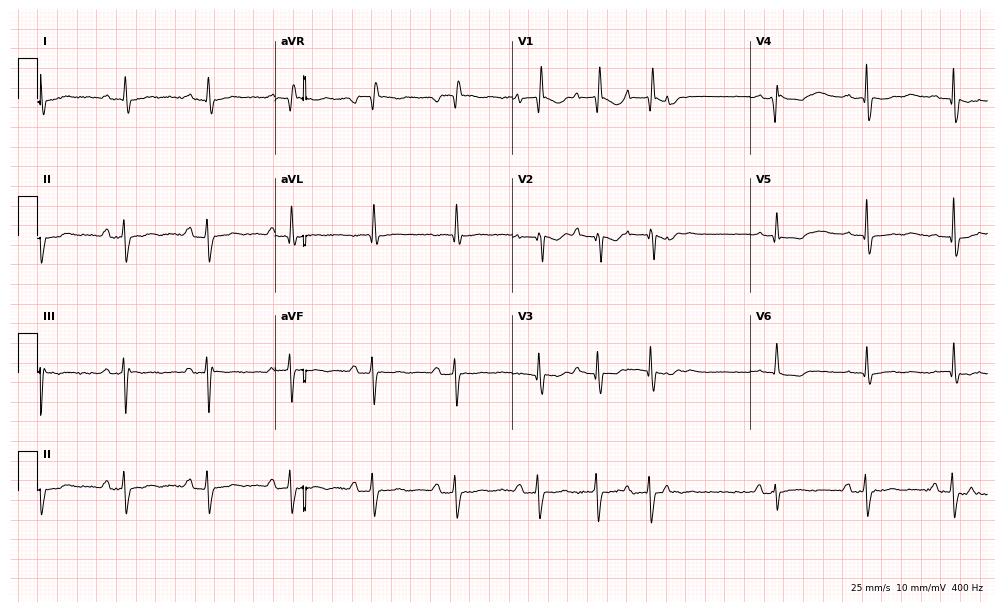
Resting 12-lead electrocardiogram. Patient: a 64-year-old female. None of these six findings is recorded: first-degree AV block, right bundle branch block, left bundle branch block, sinus bradycardia, atrial fibrillation, sinus tachycardia. Findings outside these six are not listed.